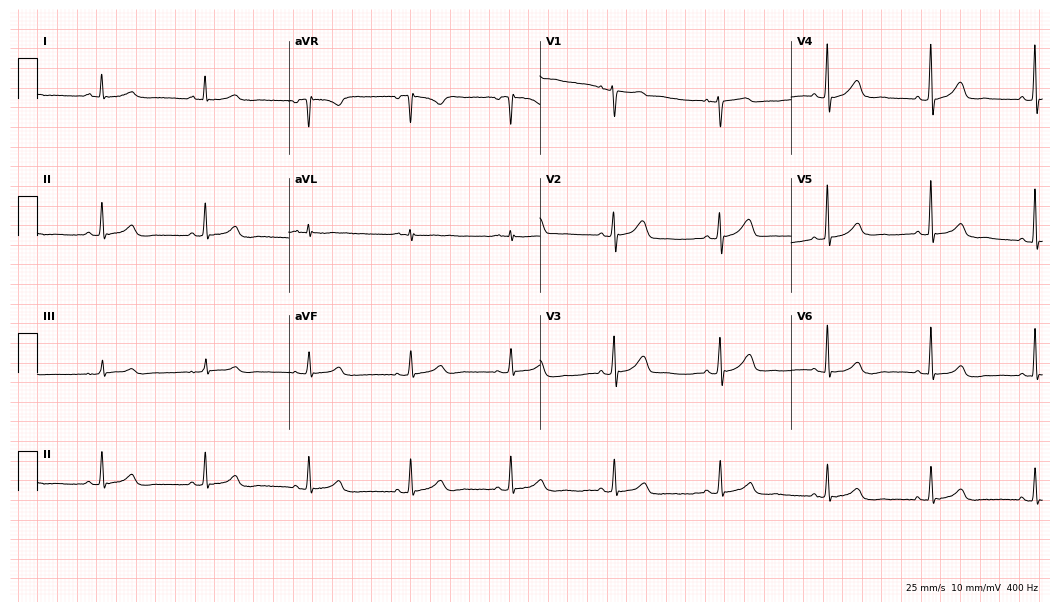
12-lead ECG from a female patient, 59 years old. Recorded interpretation: within normal limits.